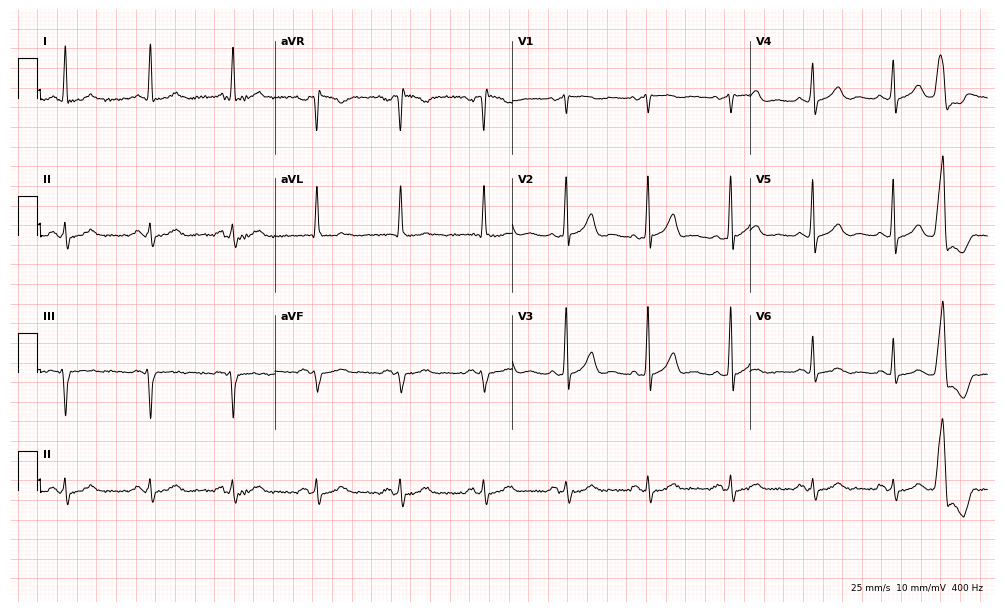
12-lead ECG from a 75-year-old male. No first-degree AV block, right bundle branch block (RBBB), left bundle branch block (LBBB), sinus bradycardia, atrial fibrillation (AF) or sinus tachycardia recorded for this tracing. Other findings, if any, are not listed.